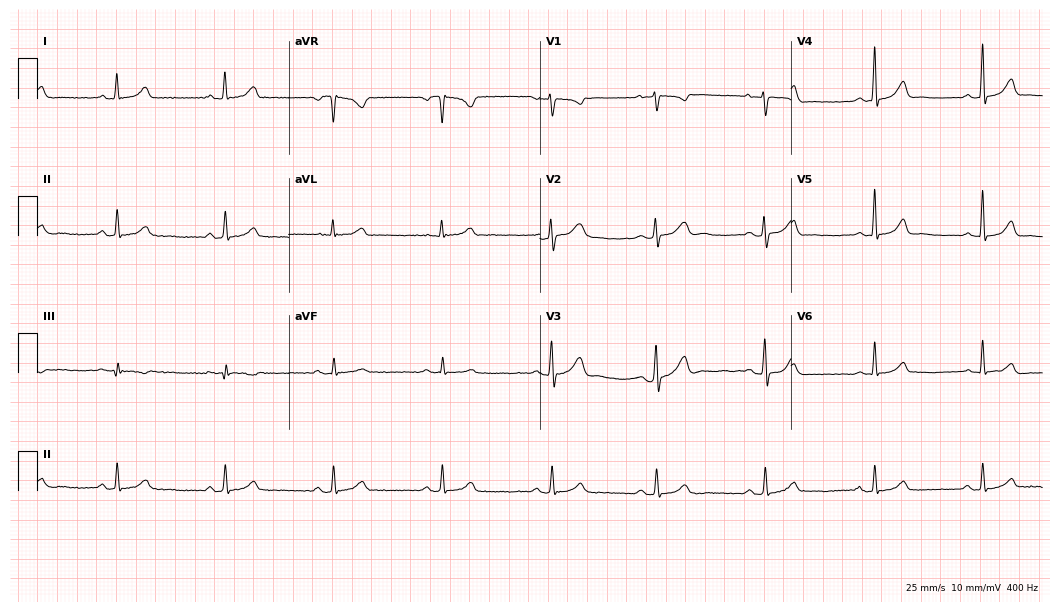
Electrocardiogram (10.2-second recording at 400 Hz), a 30-year-old female. Overall reading on record: normal ECG.